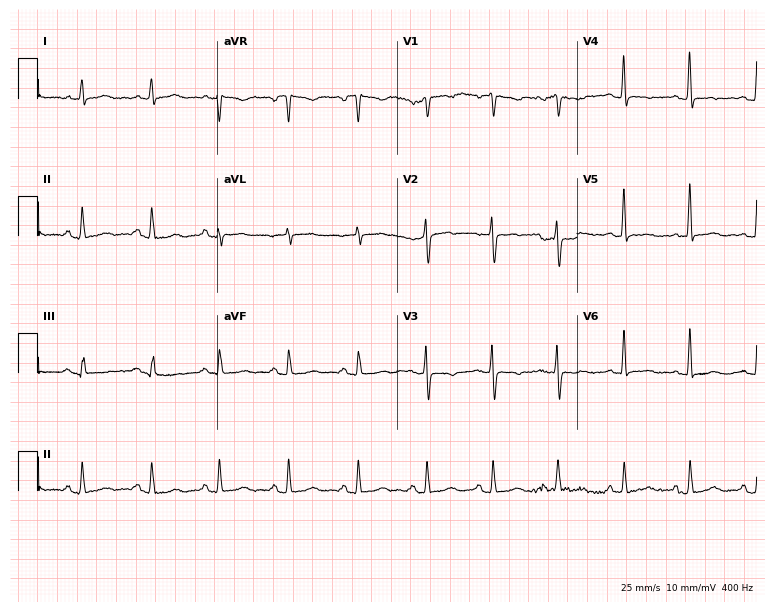
12-lead ECG (7.3-second recording at 400 Hz) from a 57-year-old woman. Screened for six findings — first-degree AV block, right bundle branch block, left bundle branch block, sinus bradycardia, atrial fibrillation, sinus tachycardia — none is recorded. Findings outside these six are not listed.